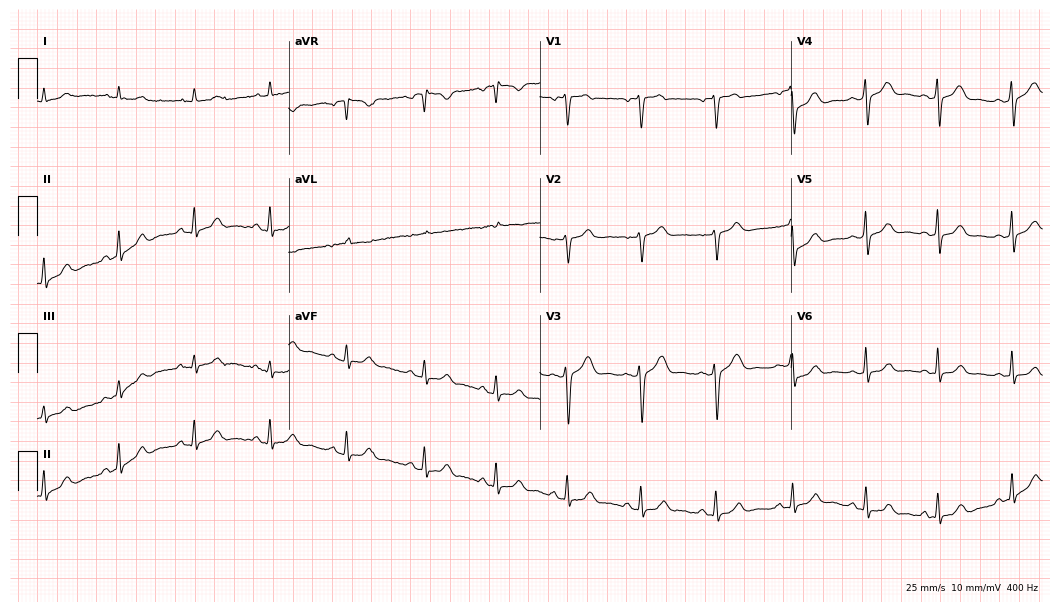
ECG (10.2-second recording at 400 Hz) — a female, 46 years old. Labelled as a normal ECG.